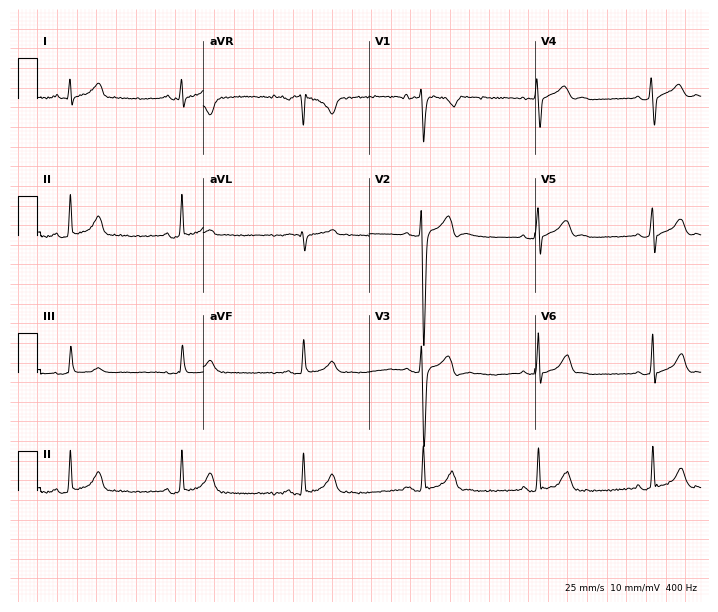
Standard 12-lead ECG recorded from a male, 23 years old (6.8-second recording at 400 Hz). The tracing shows sinus bradycardia (a sinus rate of 50 beats per minute or less).